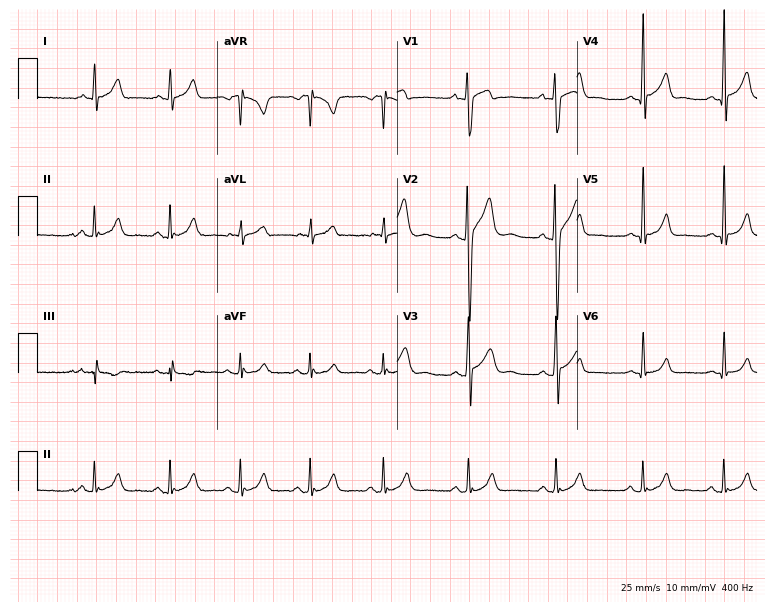
Standard 12-lead ECG recorded from a 22-year-old male patient (7.3-second recording at 400 Hz). None of these six findings is recorded: first-degree AV block, right bundle branch block (RBBB), left bundle branch block (LBBB), sinus bradycardia, atrial fibrillation (AF), sinus tachycardia. Only these six findings were labelled.